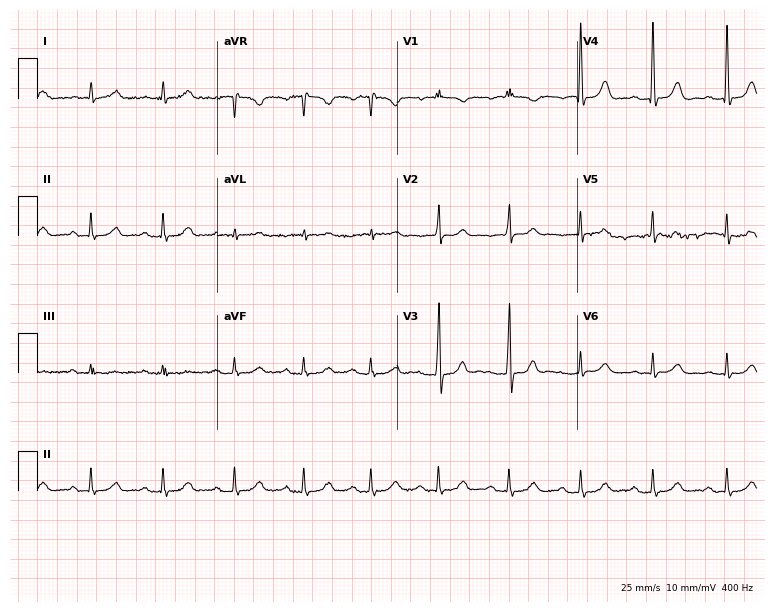
ECG (7.3-second recording at 400 Hz) — a woman, 86 years old. Labelled as a normal ECG.